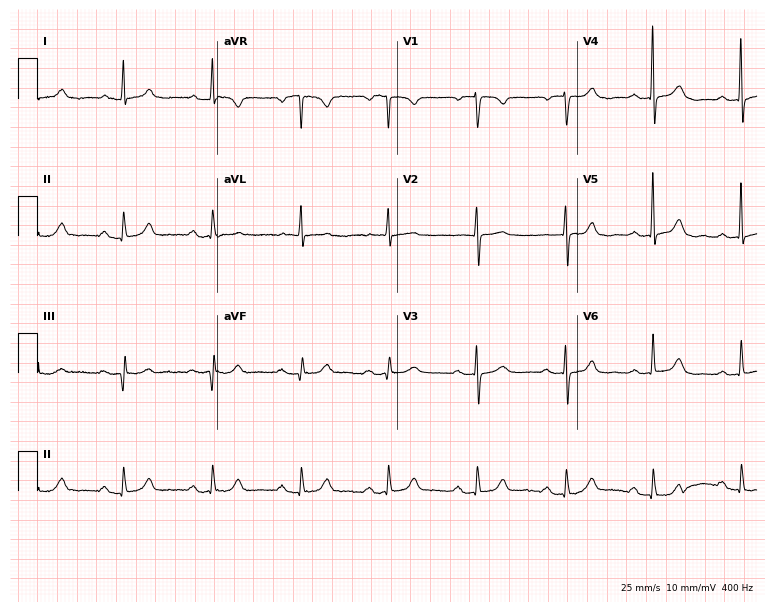
ECG (7.3-second recording at 400 Hz) — an 84-year-old female. Findings include first-degree AV block.